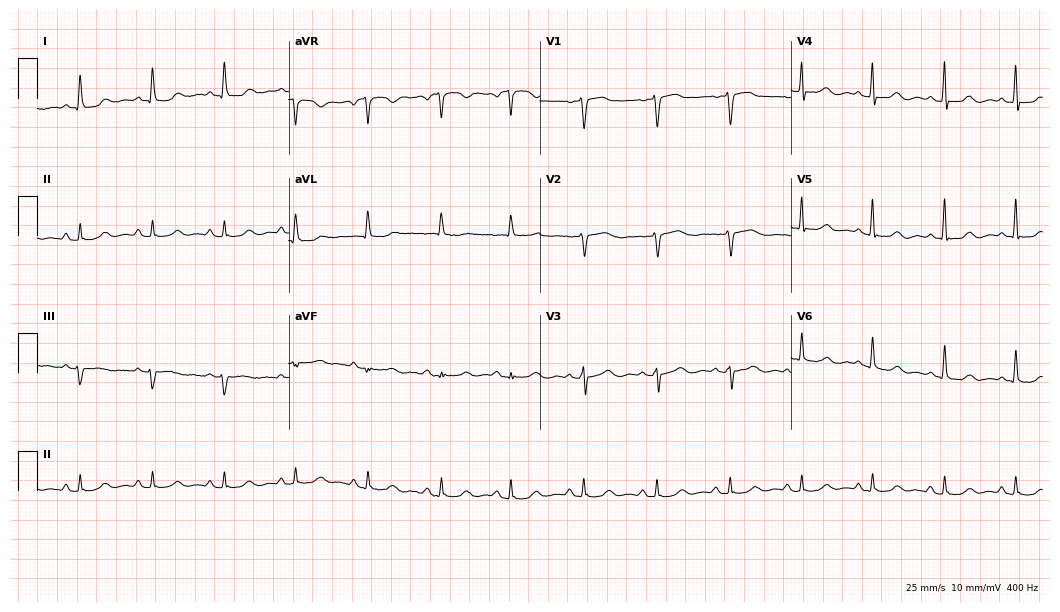
12-lead ECG from a female patient, 67 years old (10.2-second recording at 400 Hz). Recorded interpretation: within normal limits.